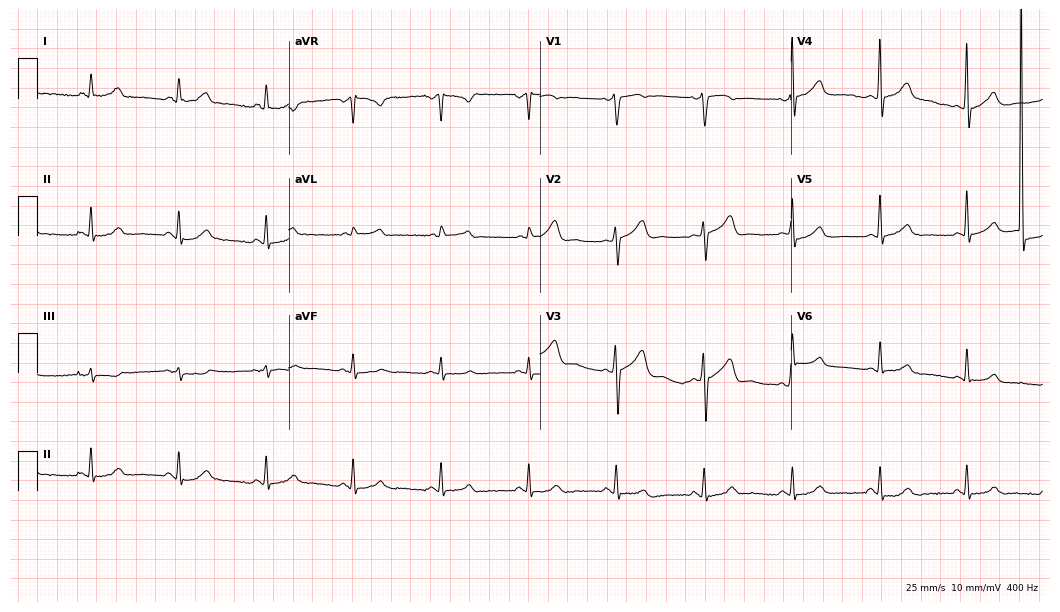
Resting 12-lead electrocardiogram (10.2-second recording at 400 Hz). Patient: a male, 60 years old. Read as a normal ECG.